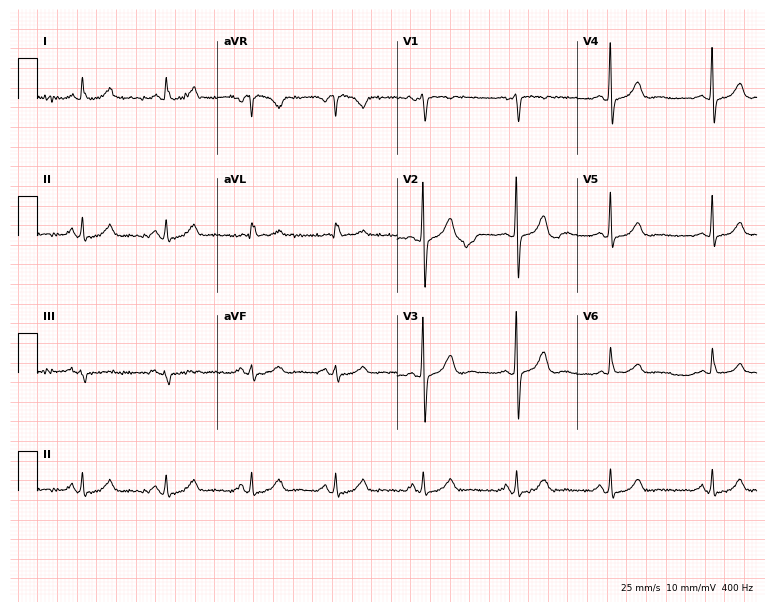
12-lead ECG from a 55-year-old female. Labelled as a normal ECG.